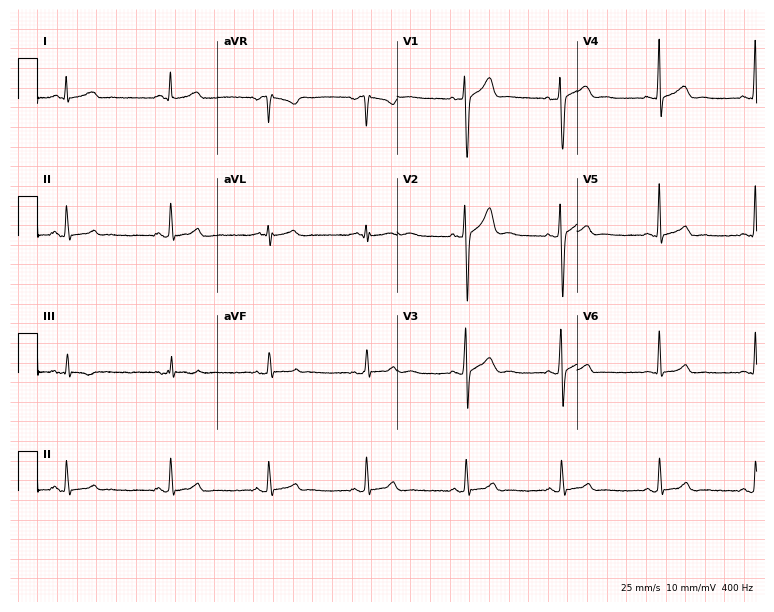
12-lead ECG from a 30-year-old man. Screened for six findings — first-degree AV block, right bundle branch block, left bundle branch block, sinus bradycardia, atrial fibrillation, sinus tachycardia — none is recorded.